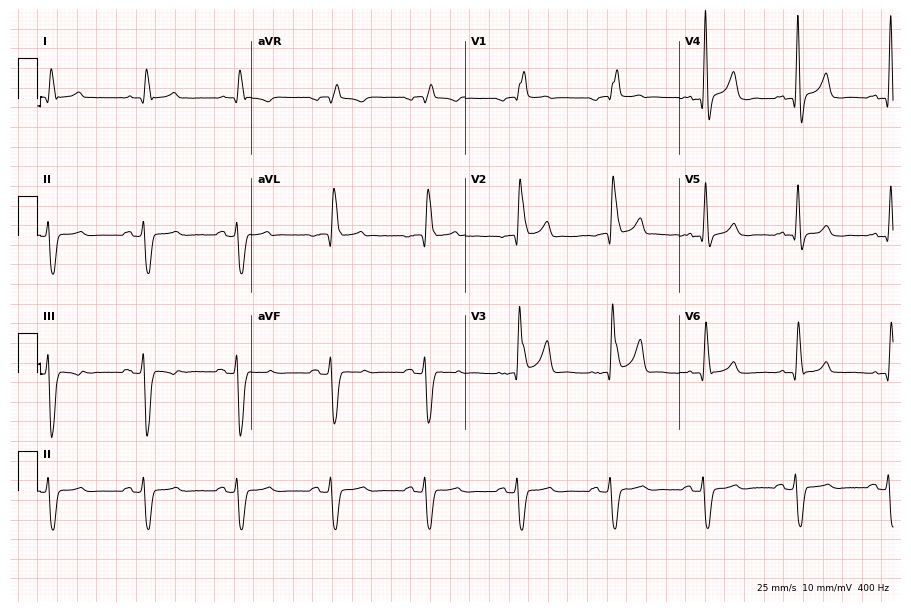
12-lead ECG from a male, 74 years old (8.7-second recording at 400 Hz). Shows right bundle branch block (RBBB).